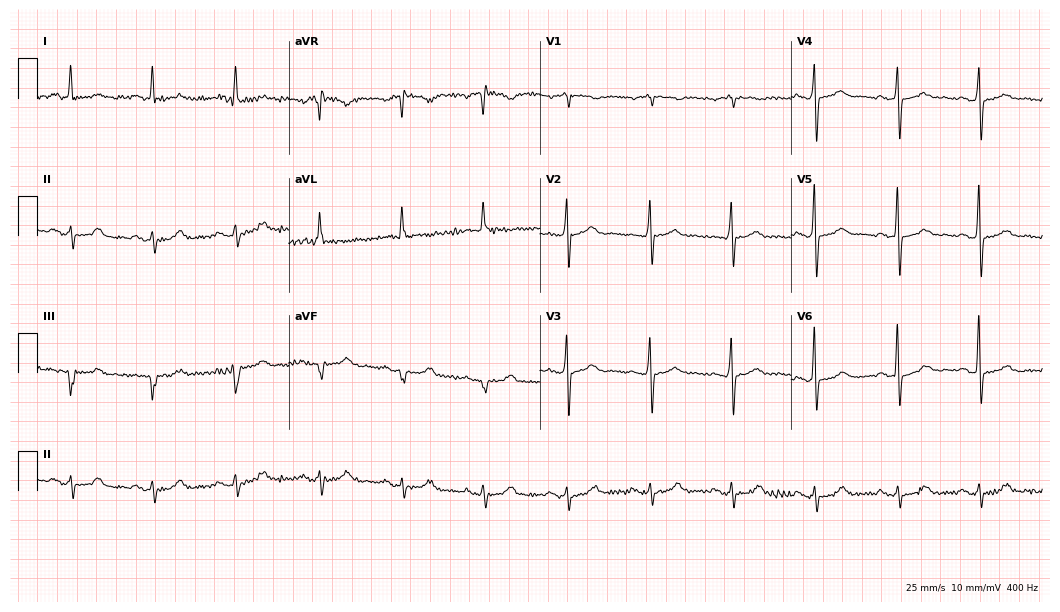
12-lead ECG (10.2-second recording at 400 Hz) from a female, 71 years old. Screened for six findings — first-degree AV block, right bundle branch block, left bundle branch block, sinus bradycardia, atrial fibrillation, sinus tachycardia — none is recorded. Only these six findings were labelled.